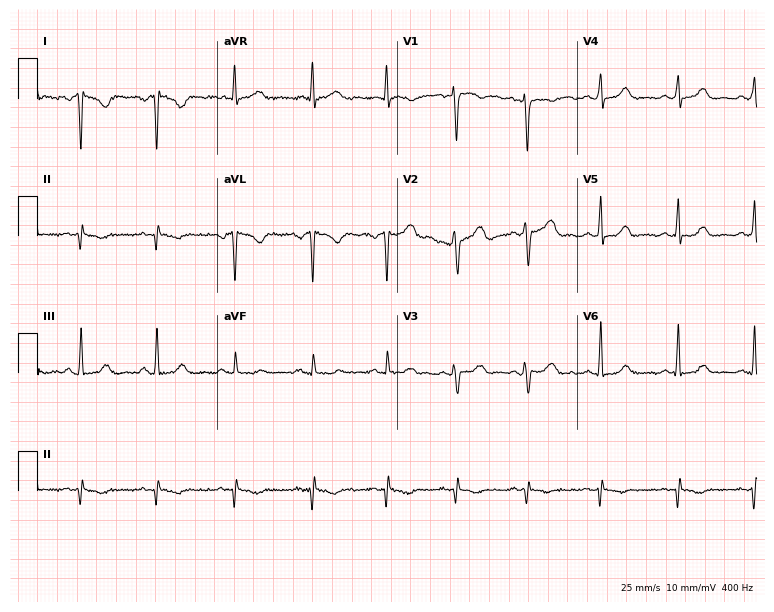
12-lead ECG from a female patient, 52 years old. No first-degree AV block, right bundle branch block (RBBB), left bundle branch block (LBBB), sinus bradycardia, atrial fibrillation (AF) or sinus tachycardia recorded for this tracing. Only these six findings were labelled.